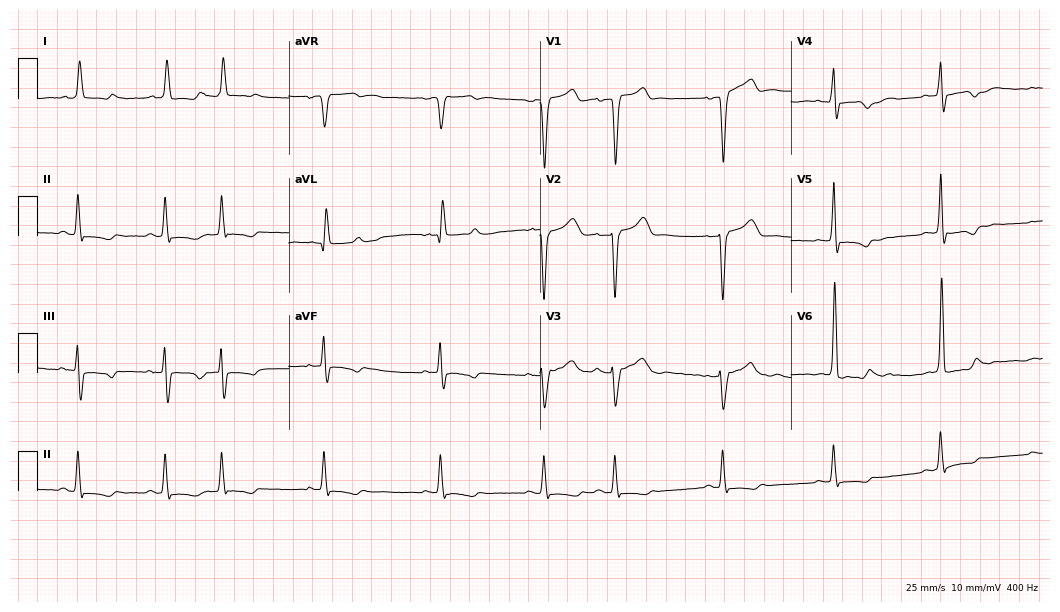
ECG — an 83-year-old male. Screened for six findings — first-degree AV block, right bundle branch block (RBBB), left bundle branch block (LBBB), sinus bradycardia, atrial fibrillation (AF), sinus tachycardia — none is recorded.